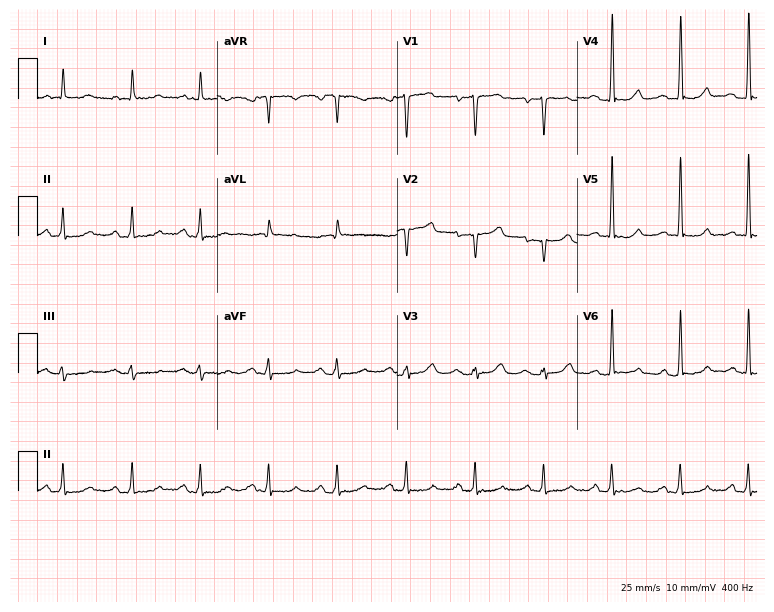
Resting 12-lead electrocardiogram (7.3-second recording at 400 Hz). Patient: a woman, 43 years old. Read as a normal ECG.